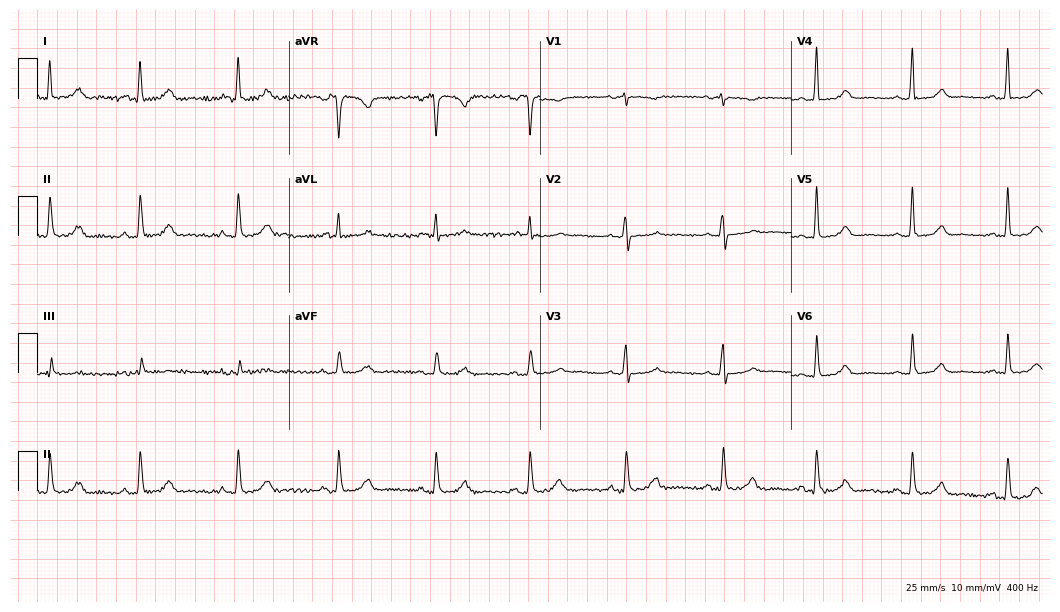
12-lead ECG from a 55-year-old woman (10.2-second recording at 400 Hz). Recorded interpretation: within normal limits.